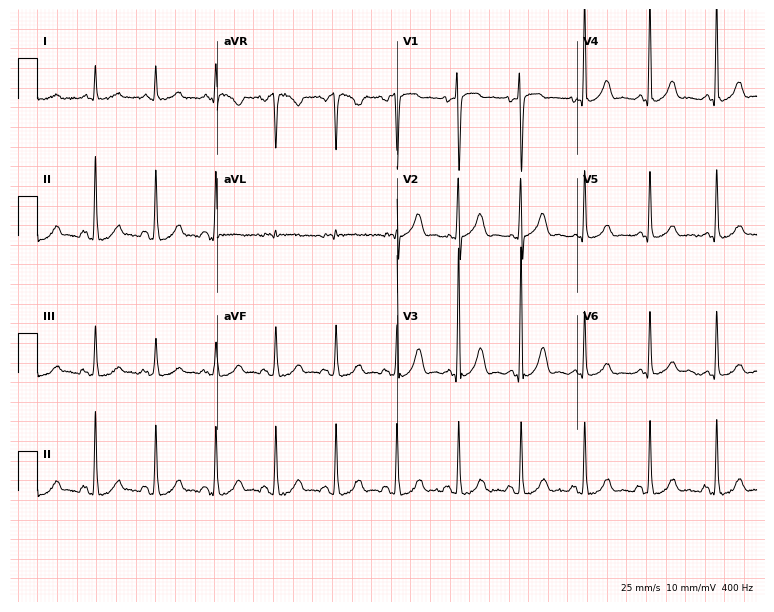
12-lead ECG from a woman, 65 years old (7.3-second recording at 400 Hz). No first-degree AV block, right bundle branch block (RBBB), left bundle branch block (LBBB), sinus bradycardia, atrial fibrillation (AF) or sinus tachycardia recorded for this tracing. Other findings, if any, are not listed.